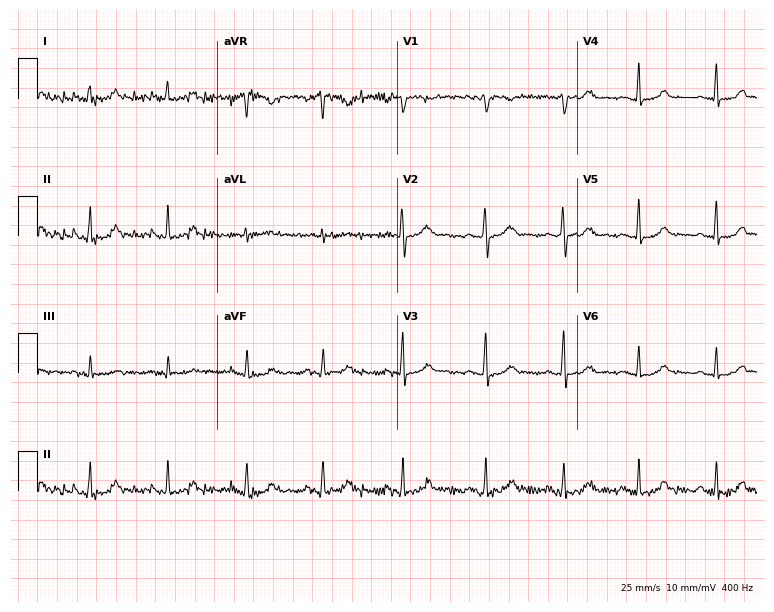
Standard 12-lead ECG recorded from a 50-year-old female (7.3-second recording at 400 Hz). Read as a normal ECG.